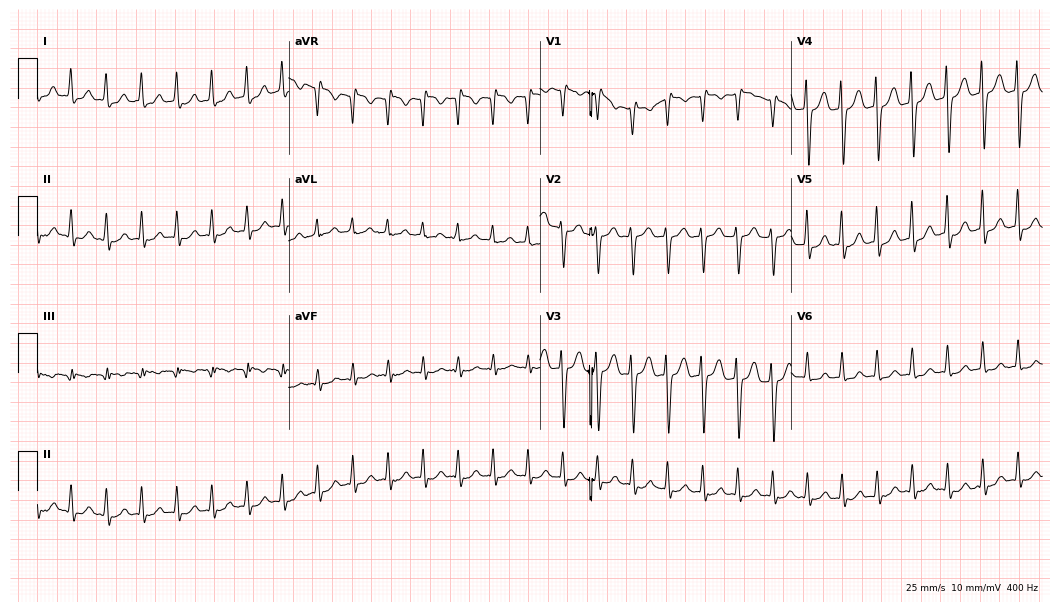
Electrocardiogram, a woman, 39 years old. Of the six screened findings (first-degree AV block, right bundle branch block, left bundle branch block, sinus bradycardia, atrial fibrillation, sinus tachycardia), none is recorded.